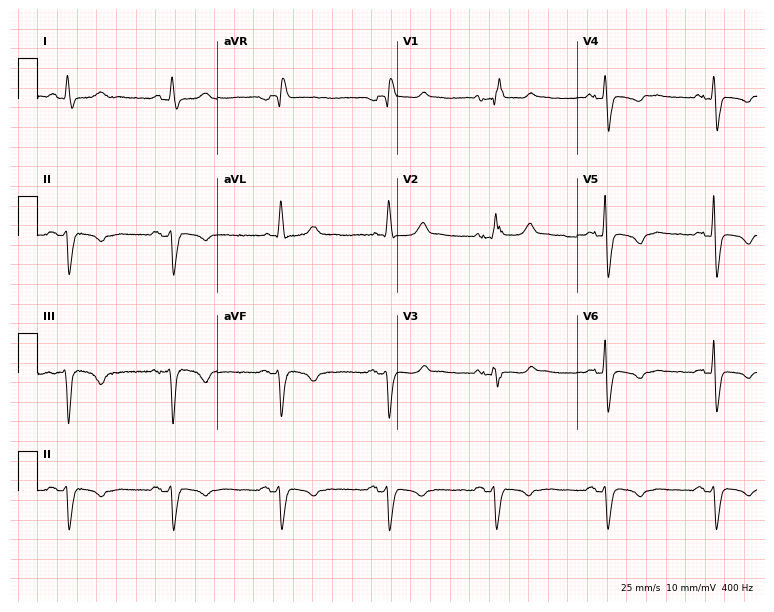
Standard 12-lead ECG recorded from a male patient, 79 years old (7.3-second recording at 400 Hz). None of these six findings is recorded: first-degree AV block, right bundle branch block (RBBB), left bundle branch block (LBBB), sinus bradycardia, atrial fibrillation (AF), sinus tachycardia.